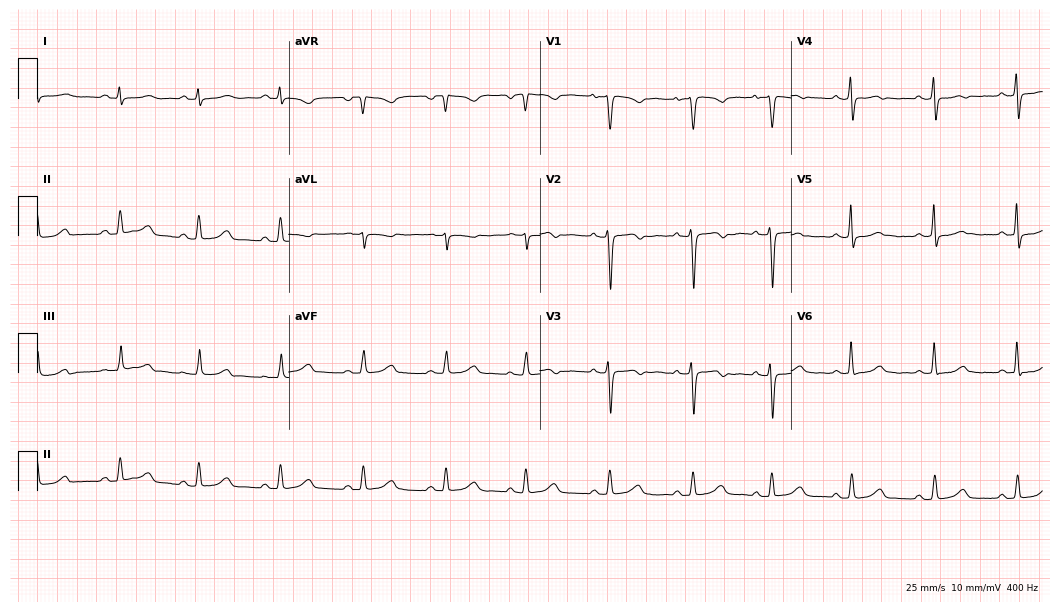
12-lead ECG (10.2-second recording at 400 Hz) from a 44-year-old female. Labelled as a normal ECG.